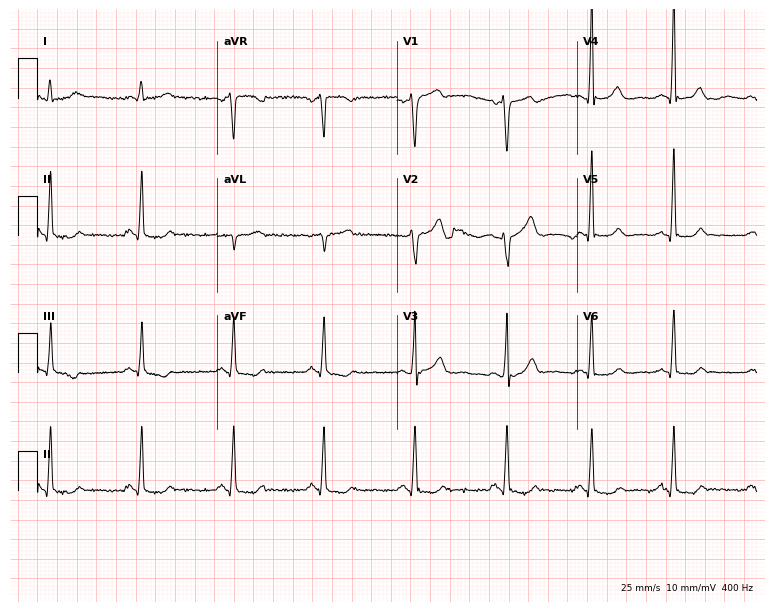
Resting 12-lead electrocardiogram (7.3-second recording at 400 Hz). Patient: a male, 64 years old. None of these six findings is recorded: first-degree AV block, right bundle branch block, left bundle branch block, sinus bradycardia, atrial fibrillation, sinus tachycardia. Findings outside these six are not listed.